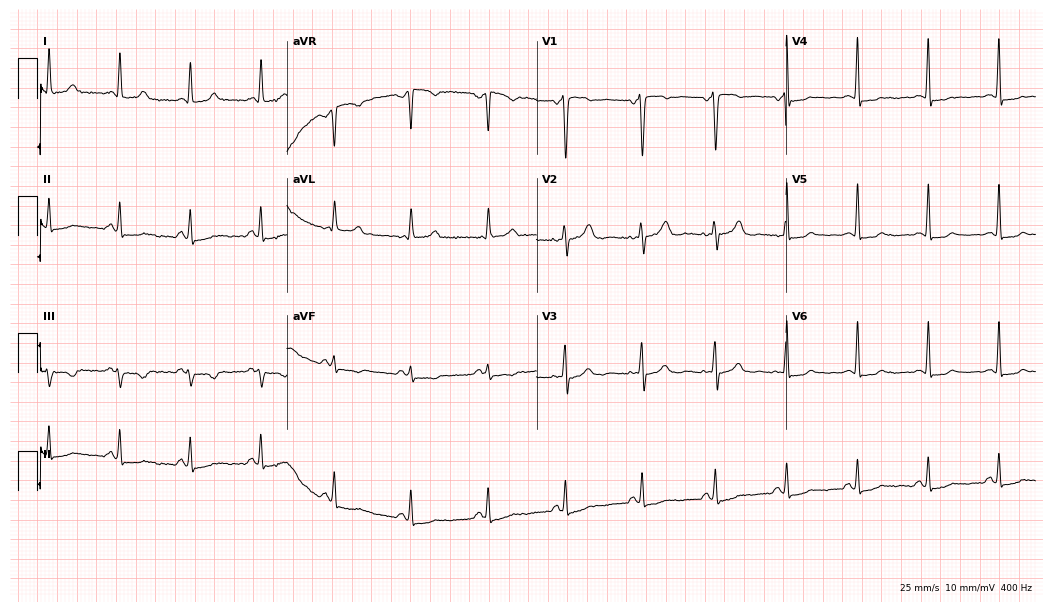
ECG — a woman, 41 years old. Screened for six findings — first-degree AV block, right bundle branch block, left bundle branch block, sinus bradycardia, atrial fibrillation, sinus tachycardia — none is recorded.